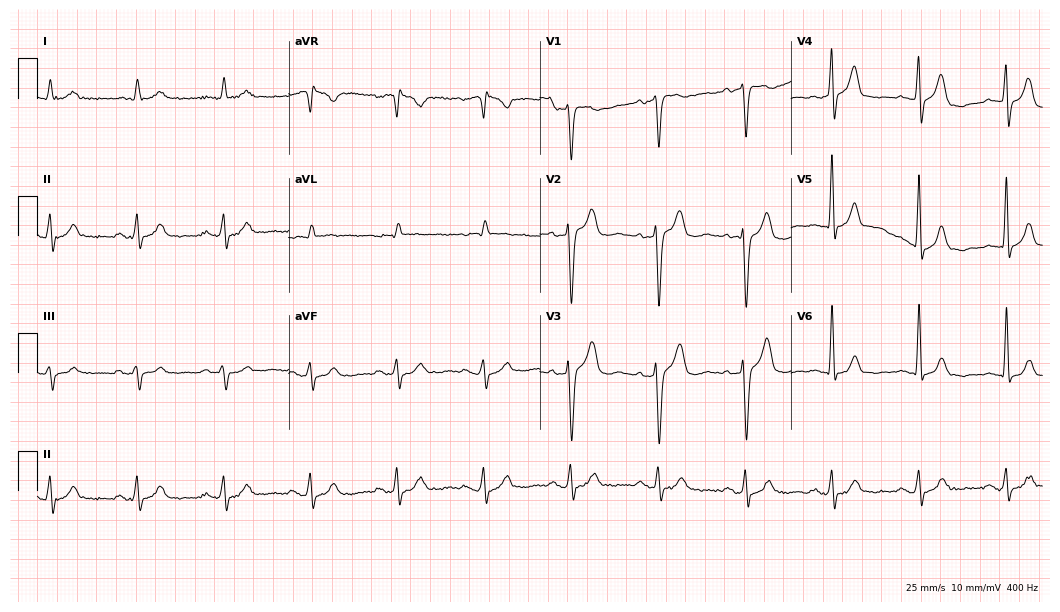
ECG (10.2-second recording at 400 Hz) — a male, 77 years old. Screened for six findings — first-degree AV block, right bundle branch block (RBBB), left bundle branch block (LBBB), sinus bradycardia, atrial fibrillation (AF), sinus tachycardia — none is recorded. Other findings, if any, are not listed.